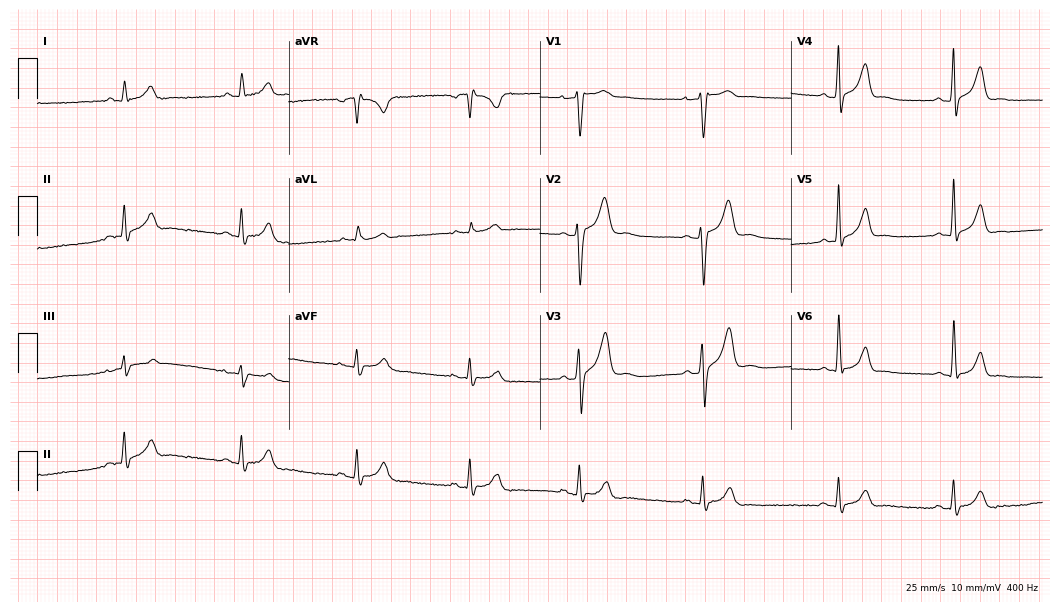
Resting 12-lead electrocardiogram. Patient: a man, 28 years old. Read as a normal ECG.